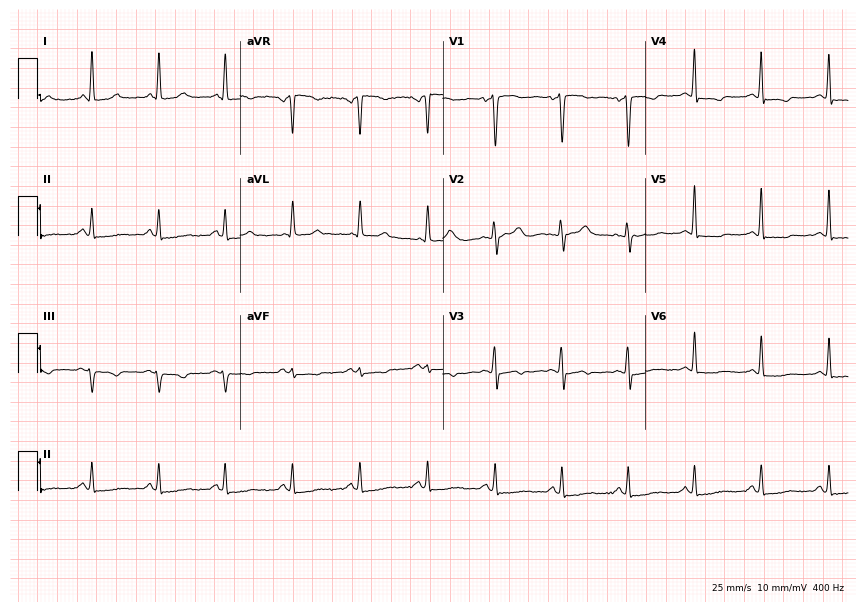
12-lead ECG (8.3-second recording at 400 Hz) from a 45-year-old female. Screened for six findings — first-degree AV block, right bundle branch block (RBBB), left bundle branch block (LBBB), sinus bradycardia, atrial fibrillation (AF), sinus tachycardia — none is recorded. Findings outside these six are not listed.